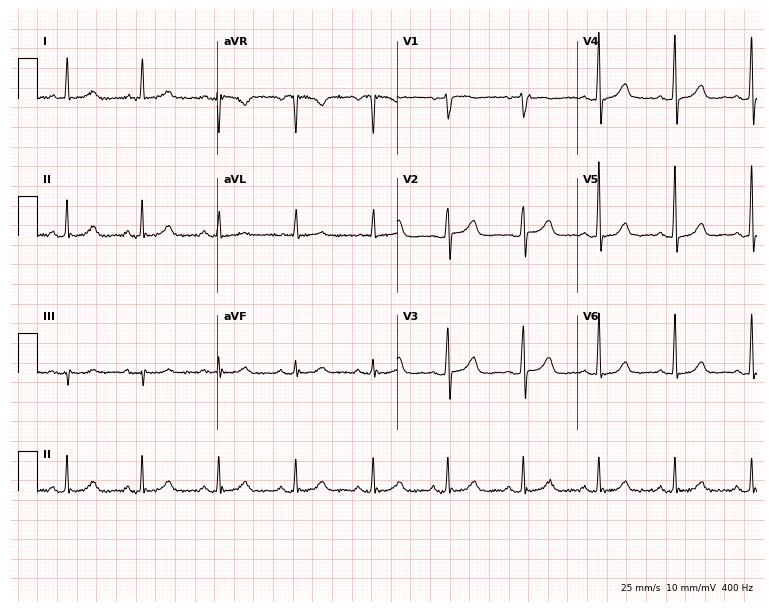
Resting 12-lead electrocardiogram (7.3-second recording at 400 Hz). Patient: a female, 62 years old. Read as a normal ECG.